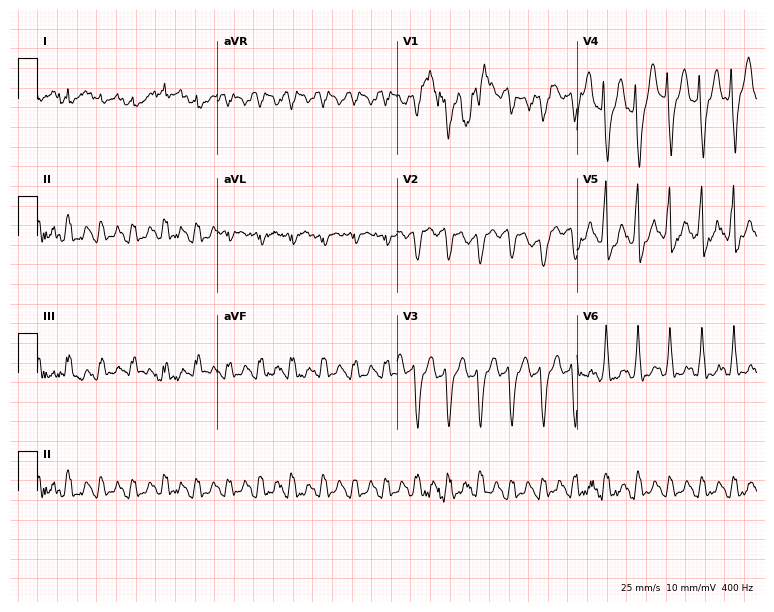
ECG — a man, 70 years old. Findings include atrial fibrillation (AF).